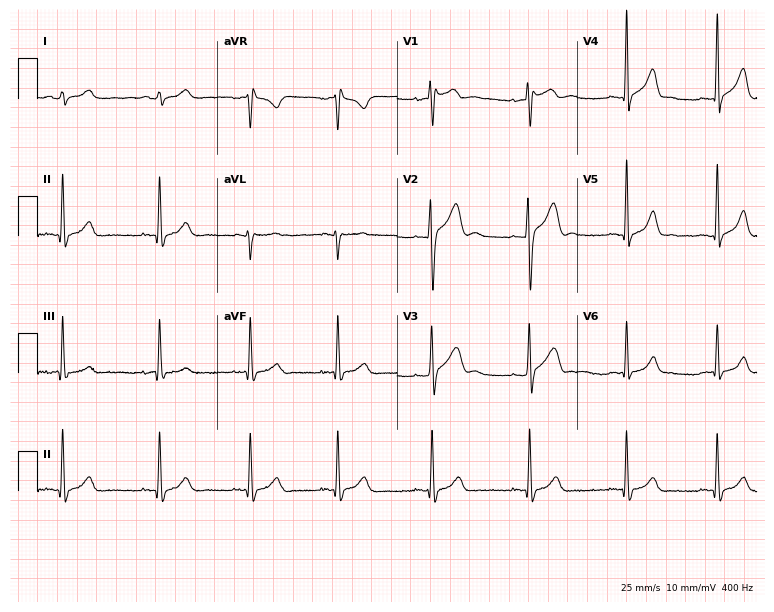
12-lead ECG from a 25-year-old male. No first-degree AV block, right bundle branch block, left bundle branch block, sinus bradycardia, atrial fibrillation or sinus tachycardia recorded for this tracing.